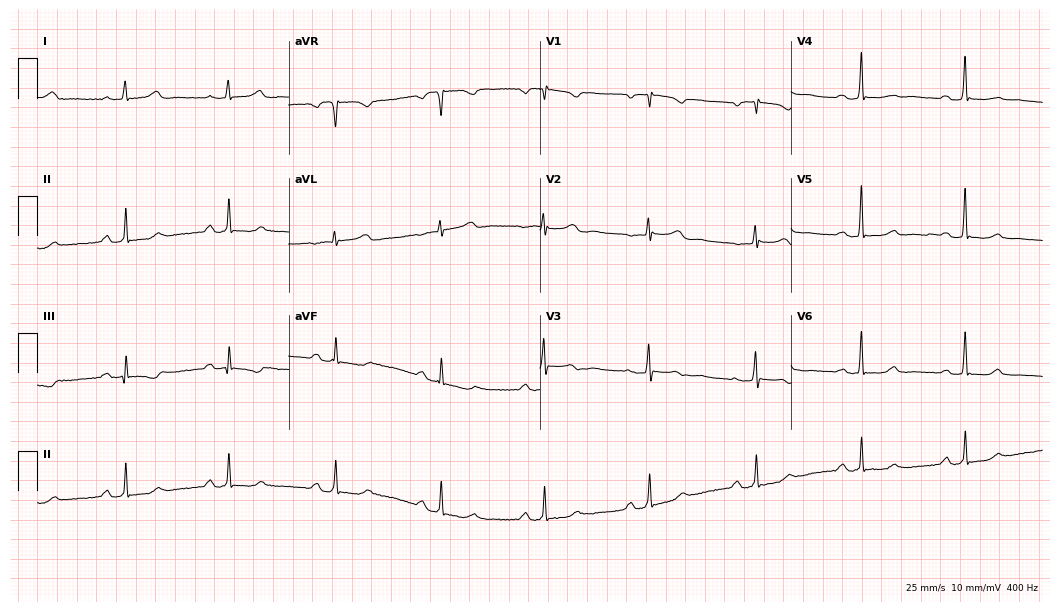
Electrocardiogram (10.2-second recording at 400 Hz), a female, 67 years old. Interpretation includes first-degree AV block.